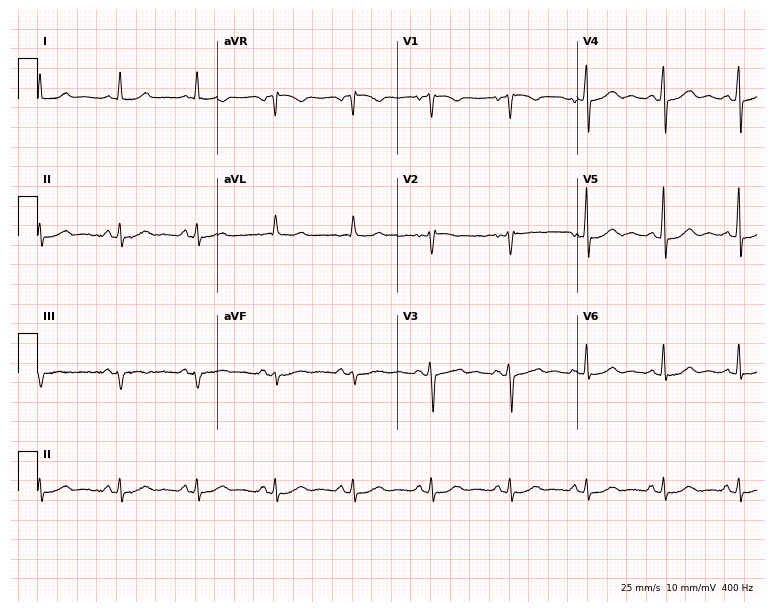
12-lead ECG (7.3-second recording at 400 Hz) from a female, 51 years old. Screened for six findings — first-degree AV block, right bundle branch block, left bundle branch block, sinus bradycardia, atrial fibrillation, sinus tachycardia — none is recorded.